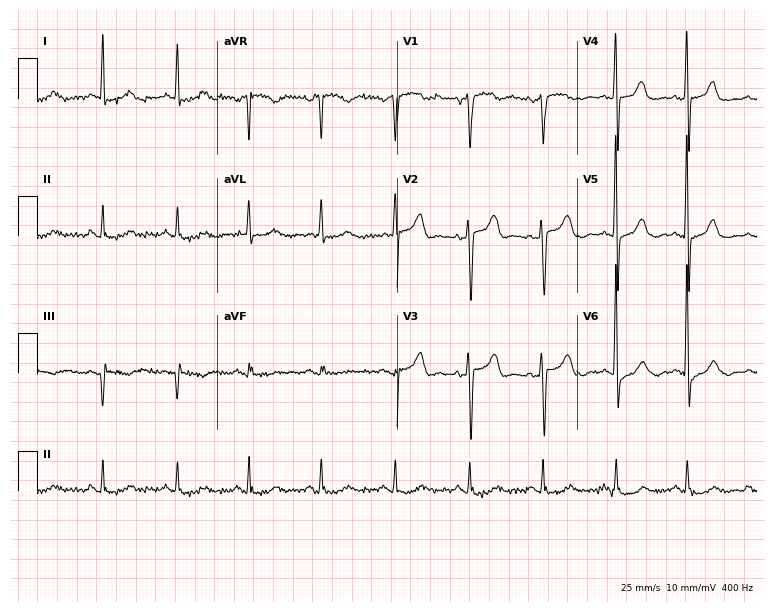
12-lead ECG from a male patient, 65 years old. No first-degree AV block, right bundle branch block, left bundle branch block, sinus bradycardia, atrial fibrillation or sinus tachycardia recorded for this tracing. Findings outside these six are not listed.